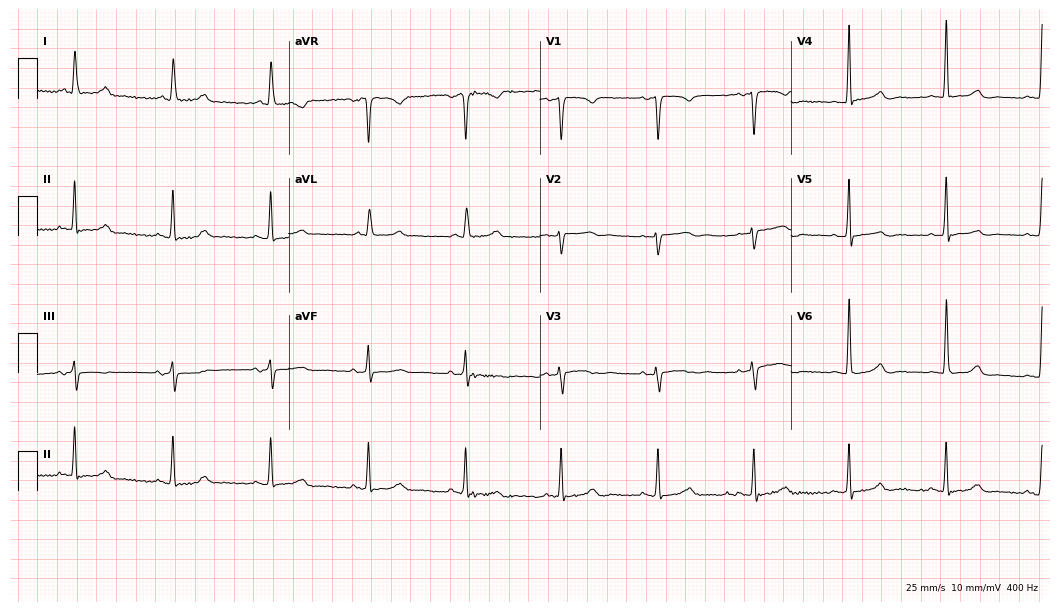
Standard 12-lead ECG recorded from a 75-year-old woman. None of these six findings is recorded: first-degree AV block, right bundle branch block, left bundle branch block, sinus bradycardia, atrial fibrillation, sinus tachycardia.